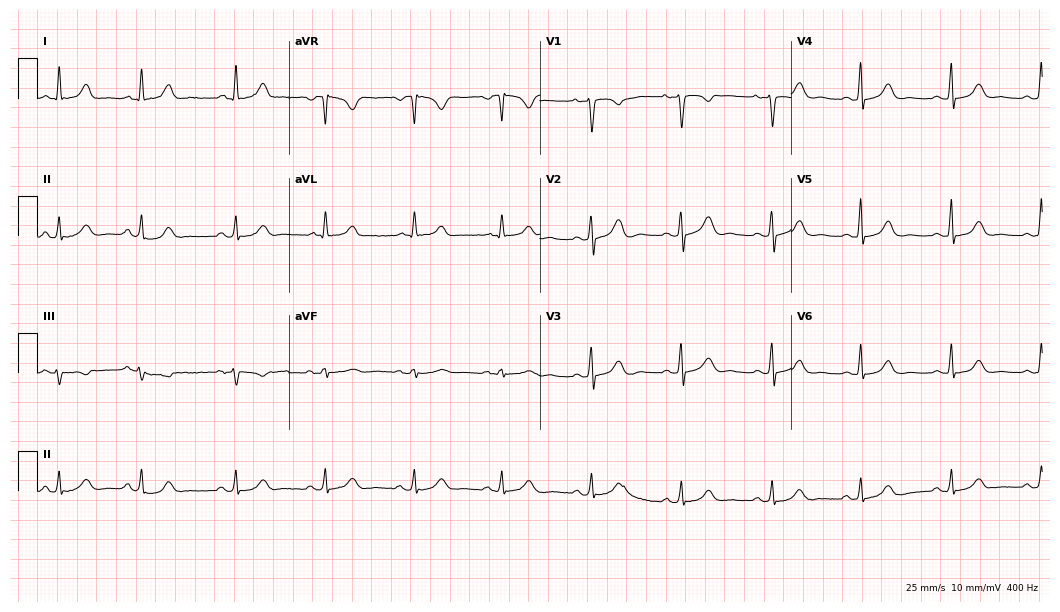
Resting 12-lead electrocardiogram. Patient: a 45-year-old woman. Read as a normal ECG.